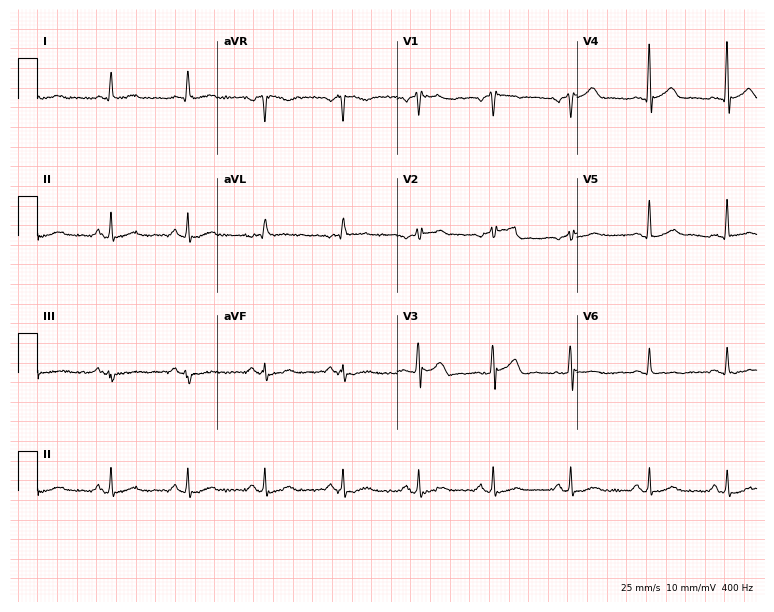
Standard 12-lead ECG recorded from a 73-year-old male patient. None of these six findings is recorded: first-degree AV block, right bundle branch block, left bundle branch block, sinus bradycardia, atrial fibrillation, sinus tachycardia.